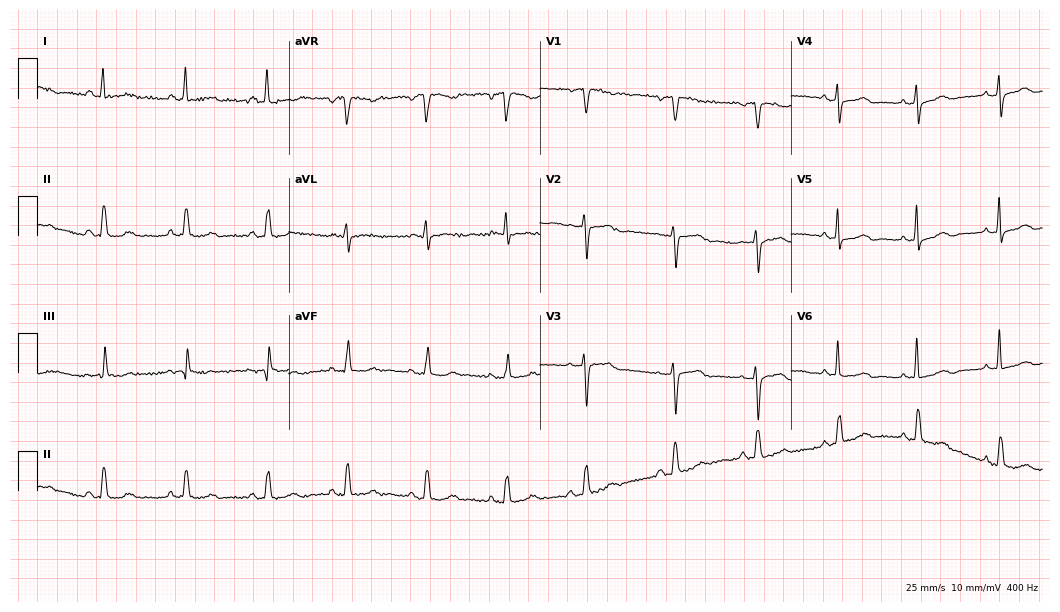
Electrocardiogram, a 72-year-old female patient. Of the six screened findings (first-degree AV block, right bundle branch block, left bundle branch block, sinus bradycardia, atrial fibrillation, sinus tachycardia), none is recorded. Other findings, if any, are not listed.